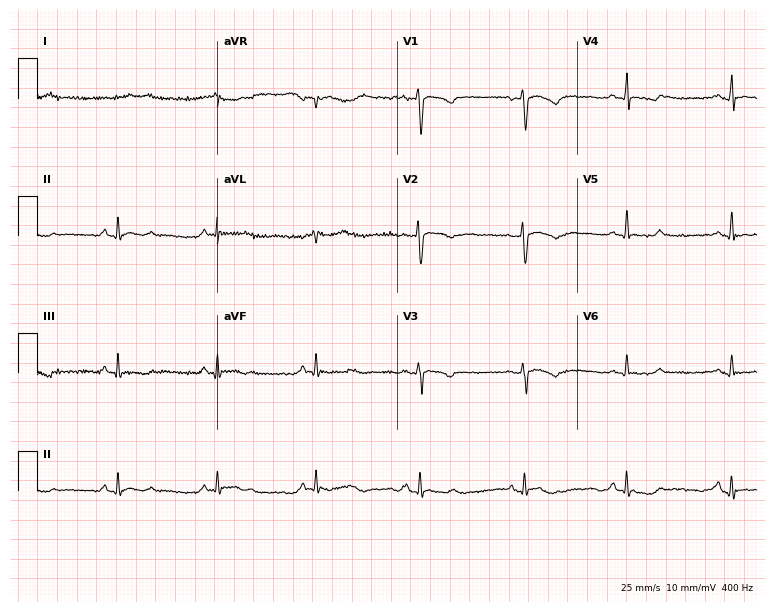
12-lead ECG from a 31-year-old female patient. No first-degree AV block, right bundle branch block (RBBB), left bundle branch block (LBBB), sinus bradycardia, atrial fibrillation (AF) or sinus tachycardia recorded for this tracing.